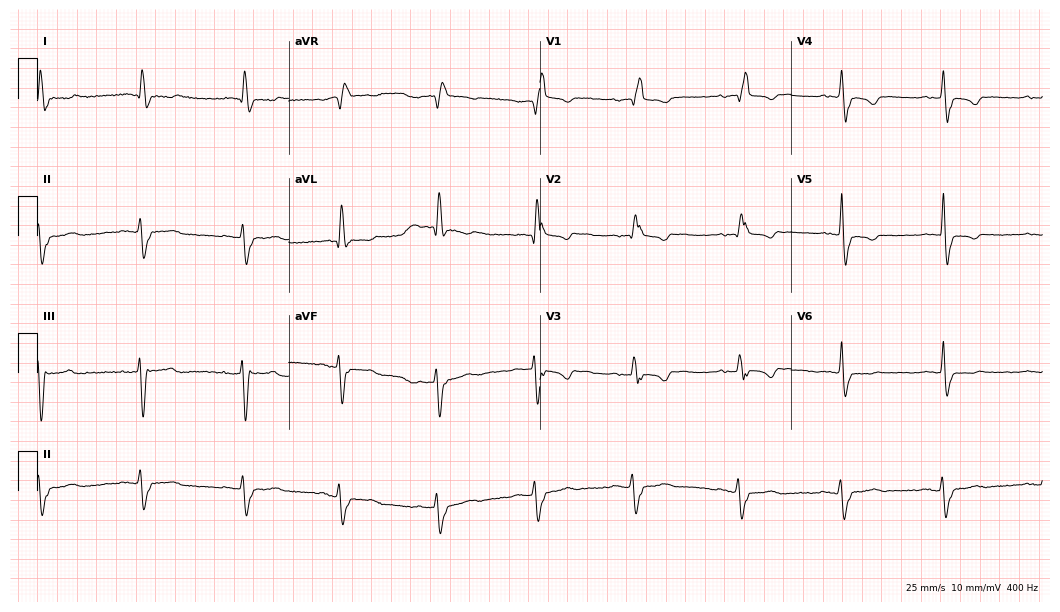
12-lead ECG from a woman, 85 years old. Screened for six findings — first-degree AV block, right bundle branch block, left bundle branch block, sinus bradycardia, atrial fibrillation, sinus tachycardia — none is recorded.